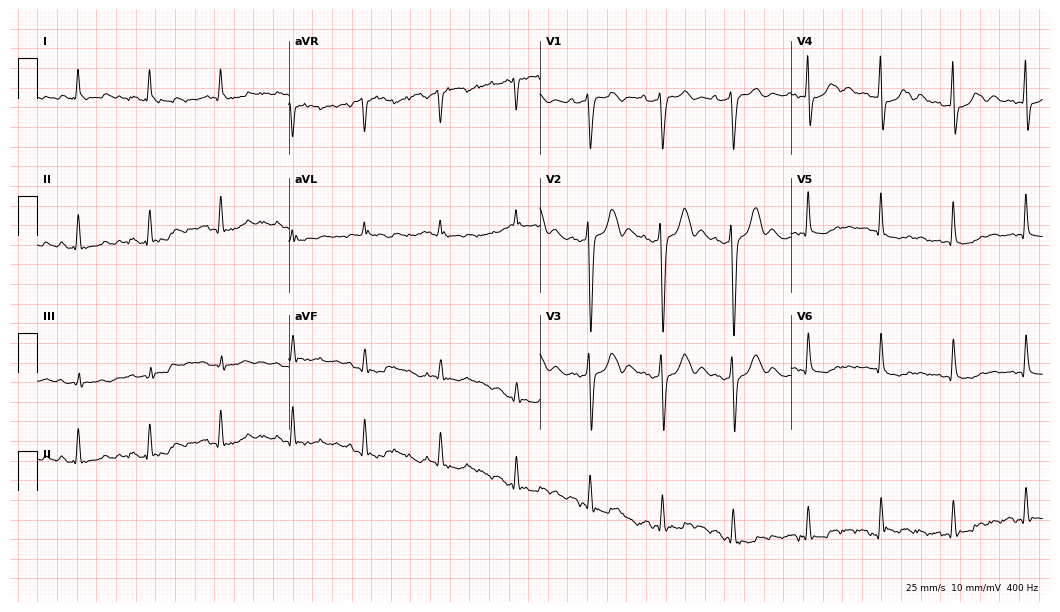
12-lead ECG from a 64-year-old female patient. Recorded interpretation: within normal limits.